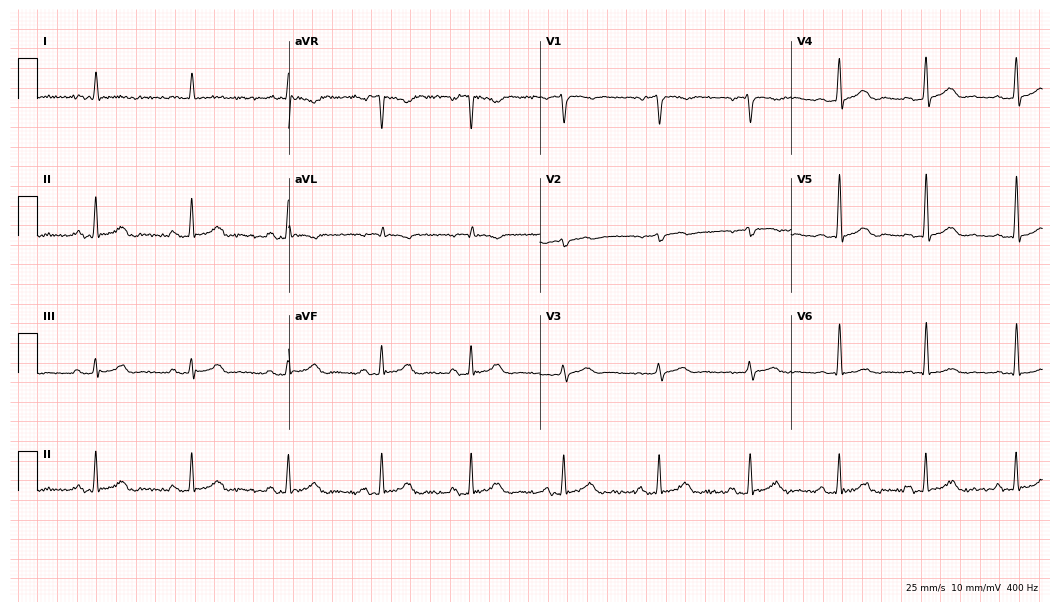
ECG (10.2-second recording at 400 Hz) — a 49-year-old man. Screened for six findings — first-degree AV block, right bundle branch block, left bundle branch block, sinus bradycardia, atrial fibrillation, sinus tachycardia — none is recorded.